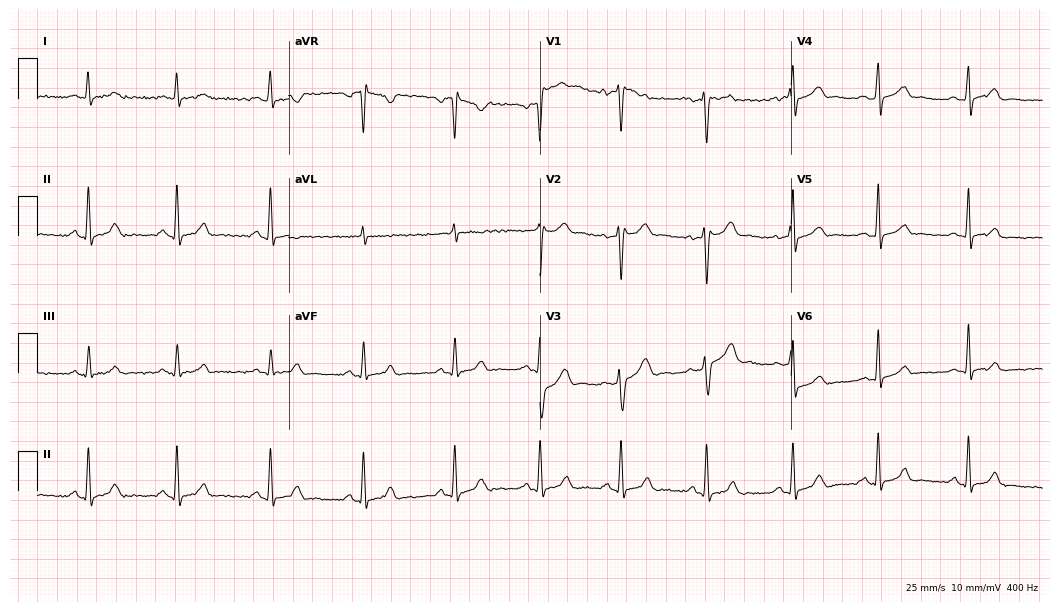
ECG (10.2-second recording at 400 Hz) — a male, 30 years old. Screened for six findings — first-degree AV block, right bundle branch block (RBBB), left bundle branch block (LBBB), sinus bradycardia, atrial fibrillation (AF), sinus tachycardia — none is recorded.